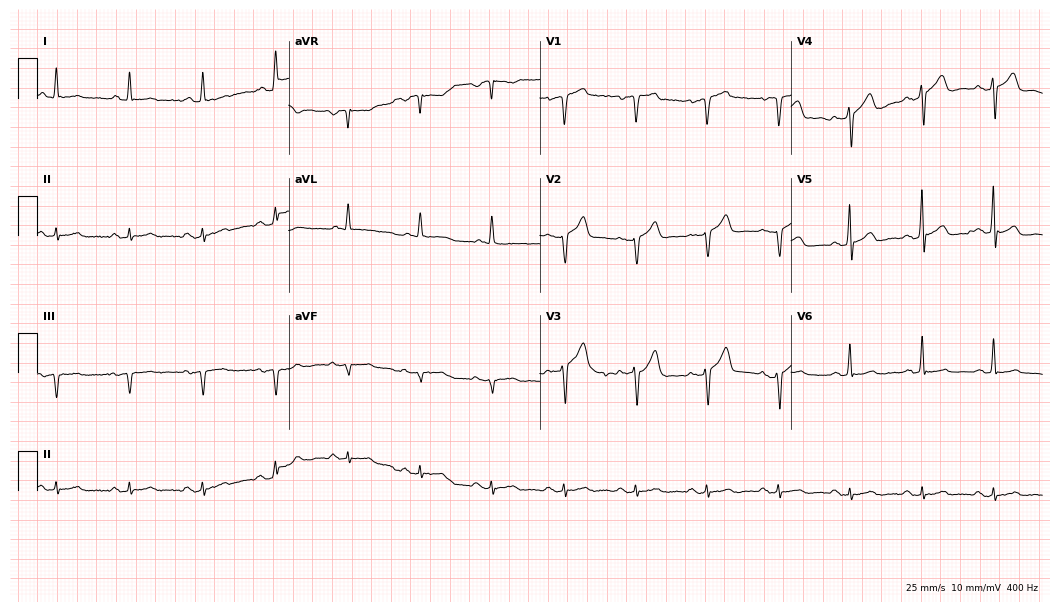
12-lead ECG from a 66-year-old male patient. Screened for six findings — first-degree AV block, right bundle branch block (RBBB), left bundle branch block (LBBB), sinus bradycardia, atrial fibrillation (AF), sinus tachycardia — none is recorded.